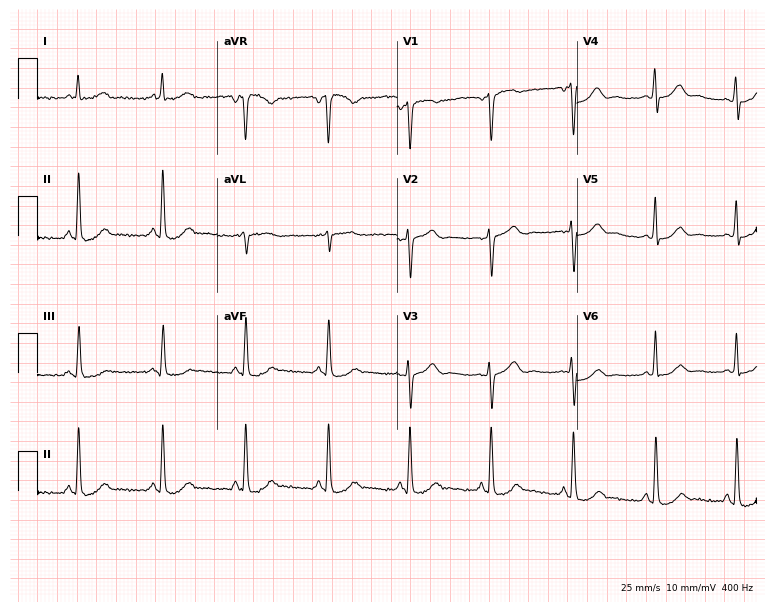
Standard 12-lead ECG recorded from a 43-year-old woman (7.3-second recording at 400 Hz). None of these six findings is recorded: first-degree AV block, right bundle branch block, left bundle branch block, sinus bradycardia, atrial fibrillation, sinus tachycardia.